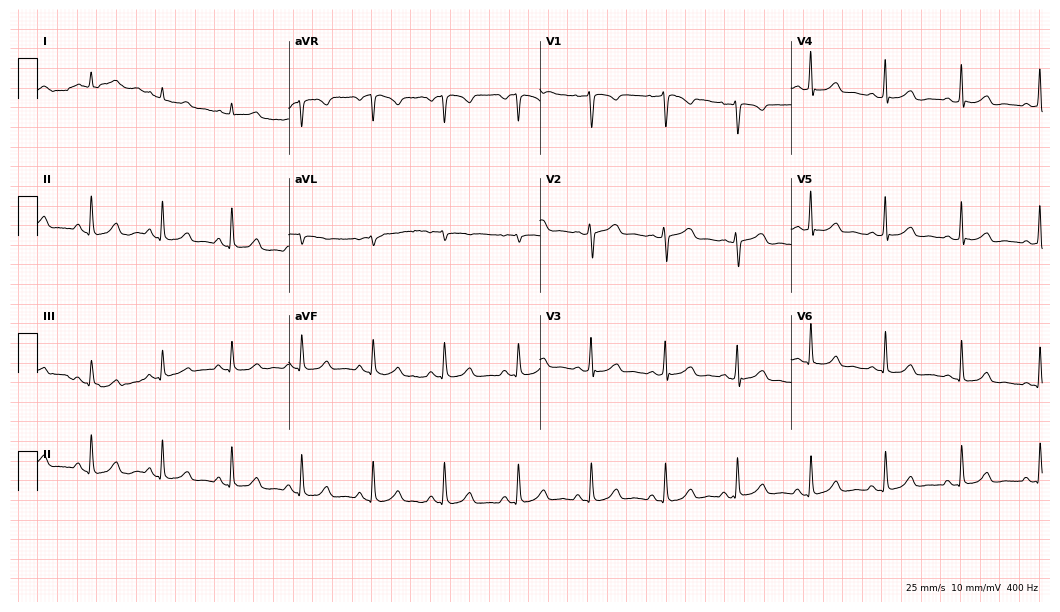
12-lead ECG from a woman, 39 years old. Labelled as a normal ECG.